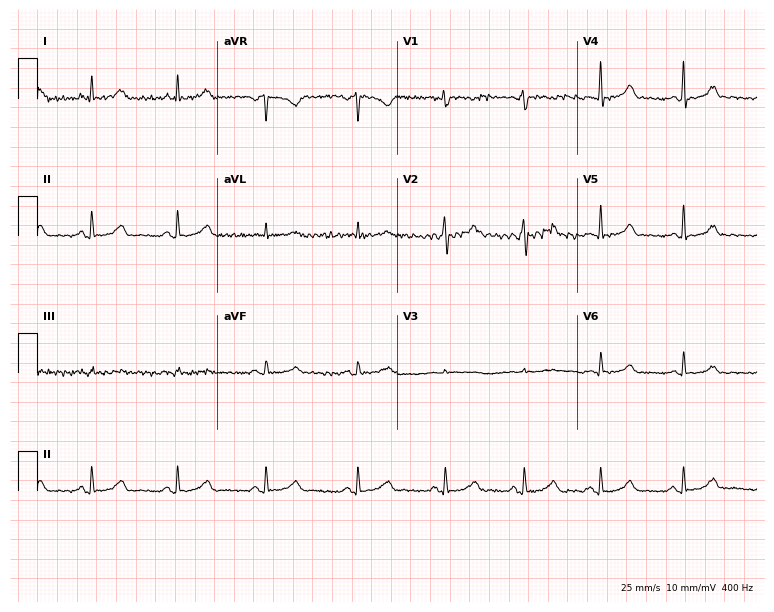
12-lead ECG (7.3-second recording at 400 Hz) from a woman, 40 years old. Labelled as a normal ECG.